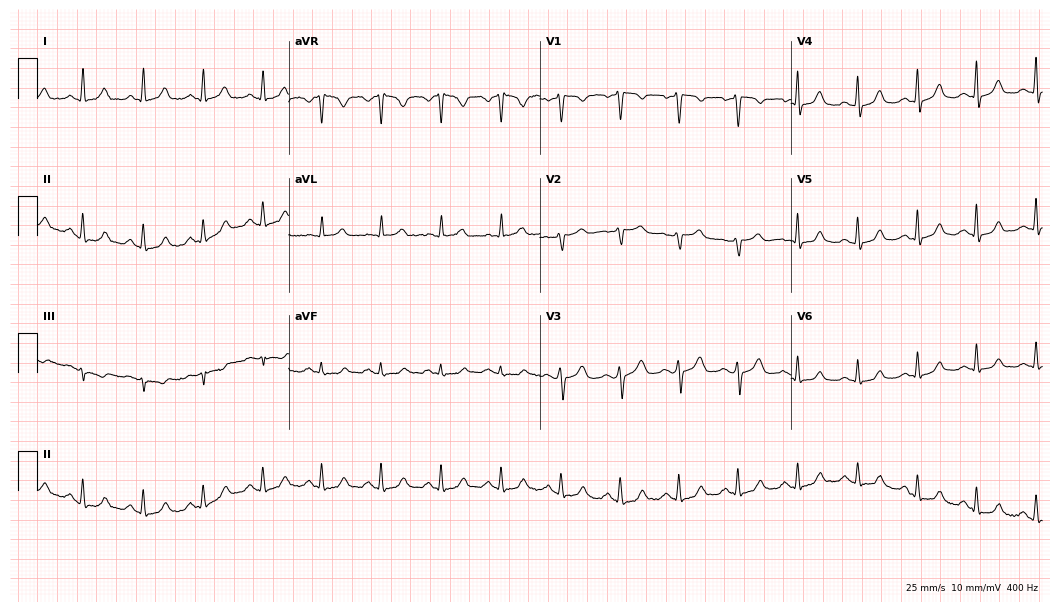
Electrocardiogram, a 46-year-old female patient. Overall reading on record: normal ECG.